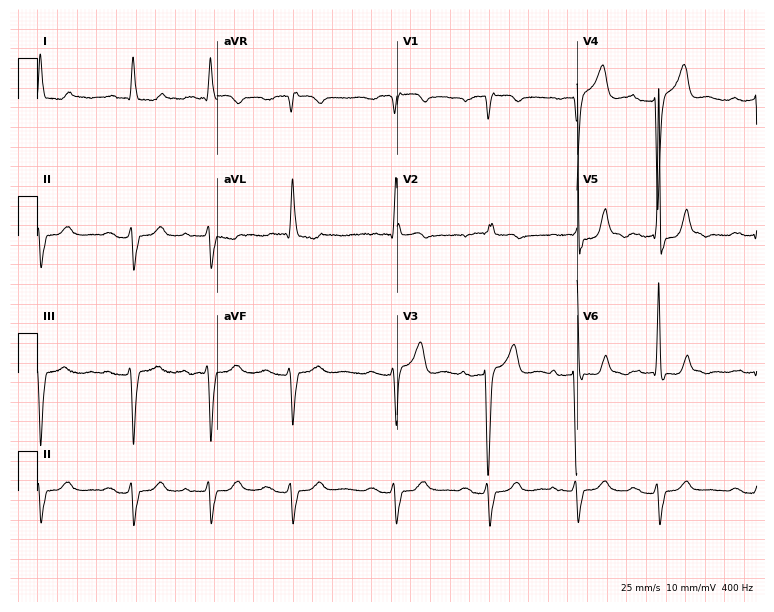
Electrocardiogram (7.3-second recording at 400 Hz), an 85-year-old man. Interpretation includes first-degree AV block.